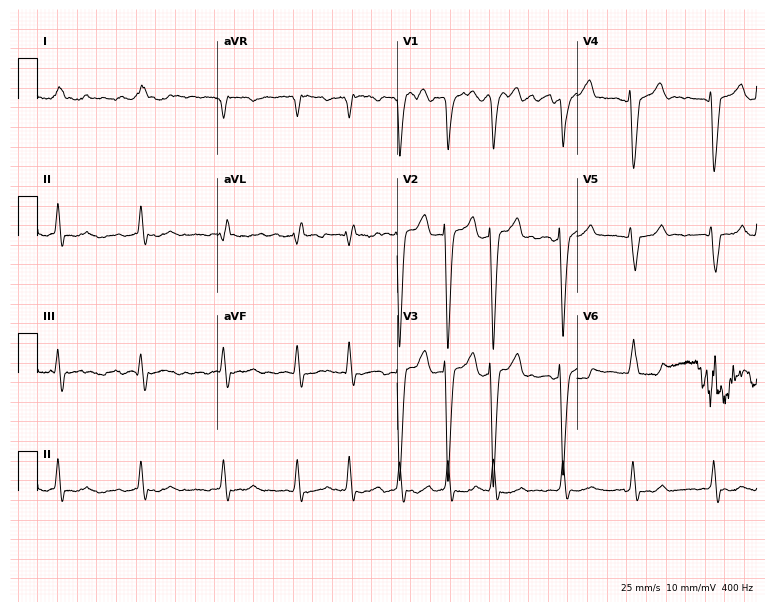
12-lead ECG from an 85-year-old female. Shows atrial fibrillation (AF).